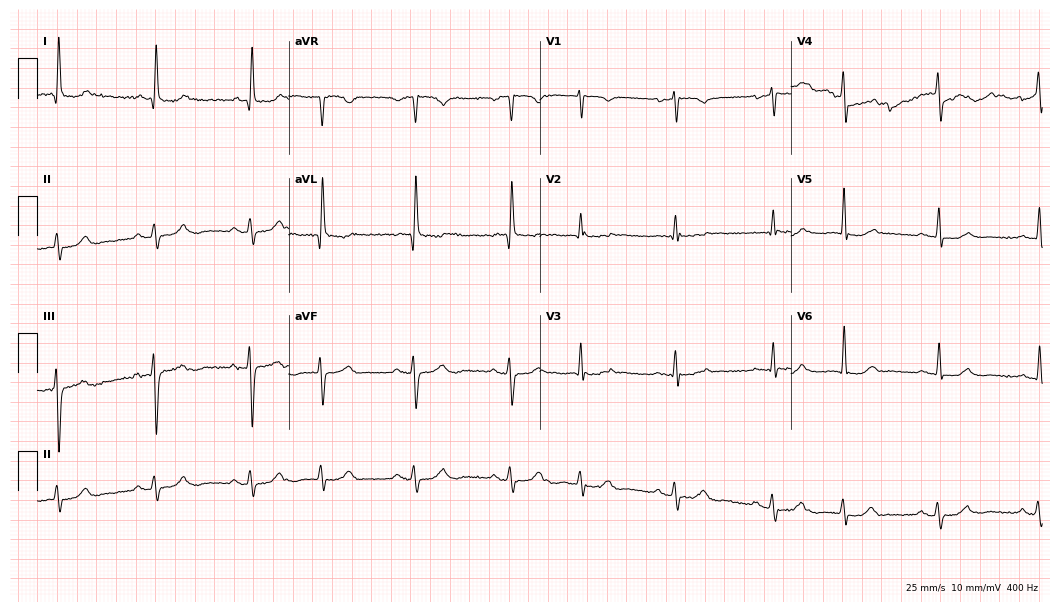
ECG (10.2-second recording at 400 Hz) — a female patient, 79 years old. Screened for six findings — first-degree AV block, right bundle branch block, left bundle branch block, sinus bradycardia, atrial fibrillation, sinus tachycardia — none is recorded. Findings outside these six are not listed.